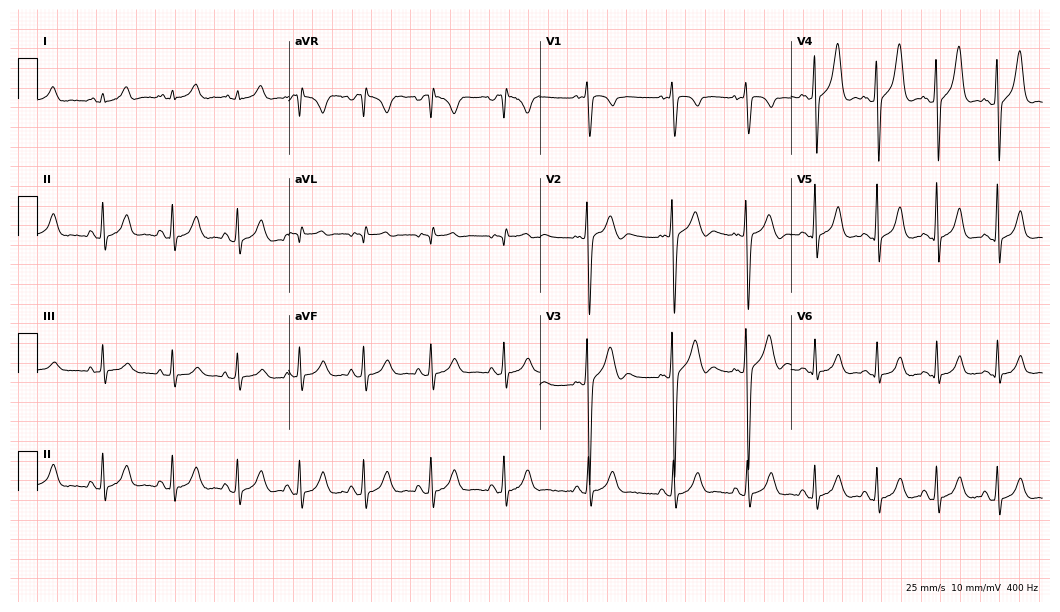
Standard 12-lead ECG recorded from a man, 20 years old (10.2-second recording at 400 Hz). Read as a normal ECG.